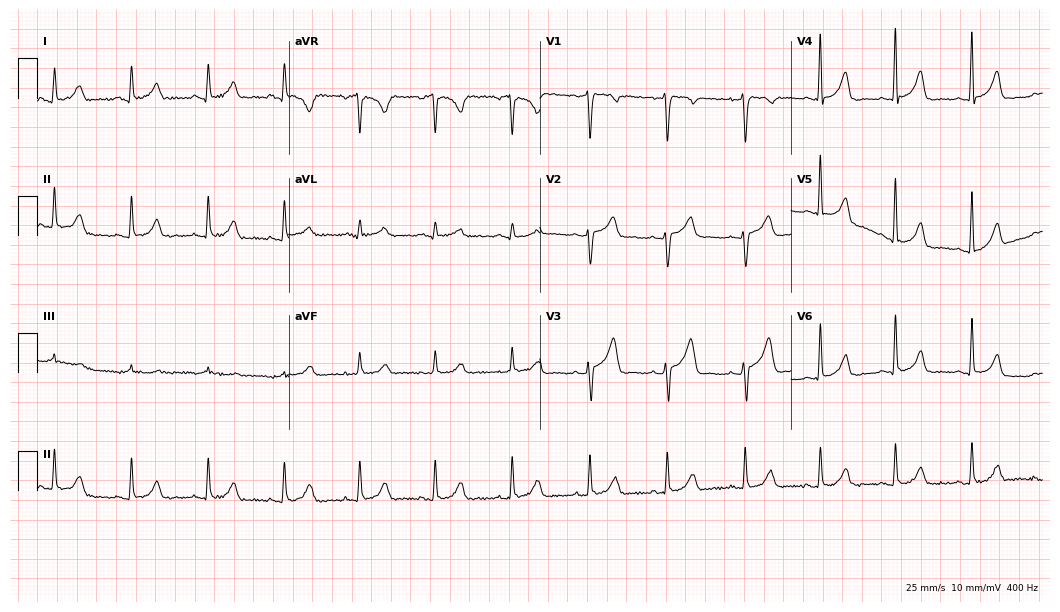
12-lead ECG (10.2-second recording at 400 Hz) from a 46-year-old woman. Labelled as a normal ECG.